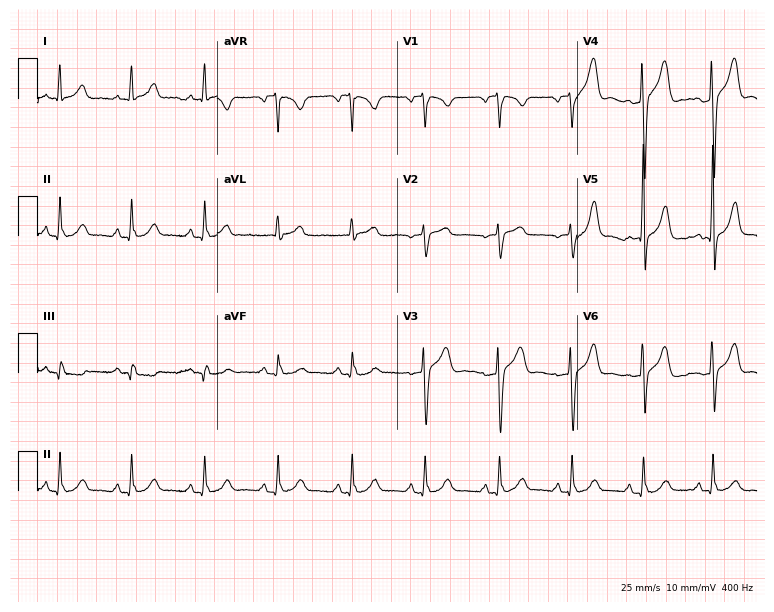
12-lead ECG from a male, 61 years old. Recorded interpretation: within normal limits.